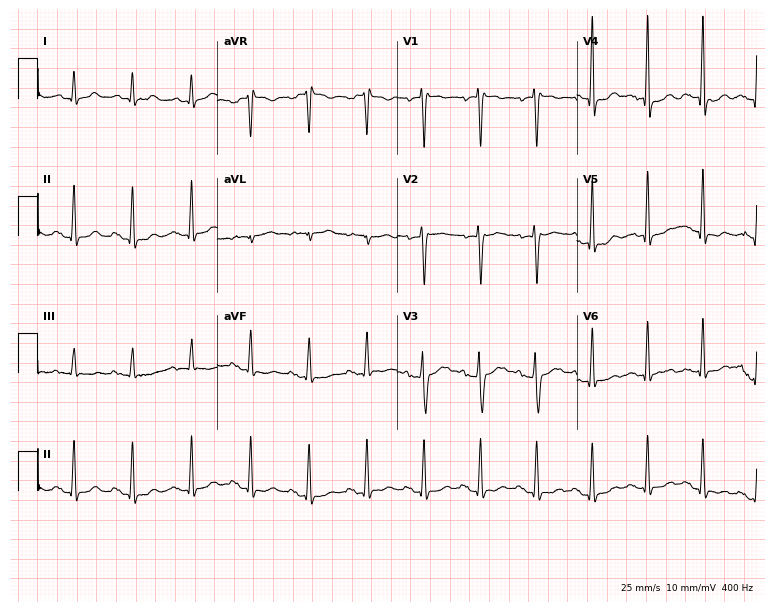
ECG — a 39-year-old female patient. Screened for six findings — first-degree AV block, right bundle branch block, left bundle branch block, sinus bradycardia, atrial fibrillation, sinus tachycardia — none is recorded. Only these six findings were labelled.